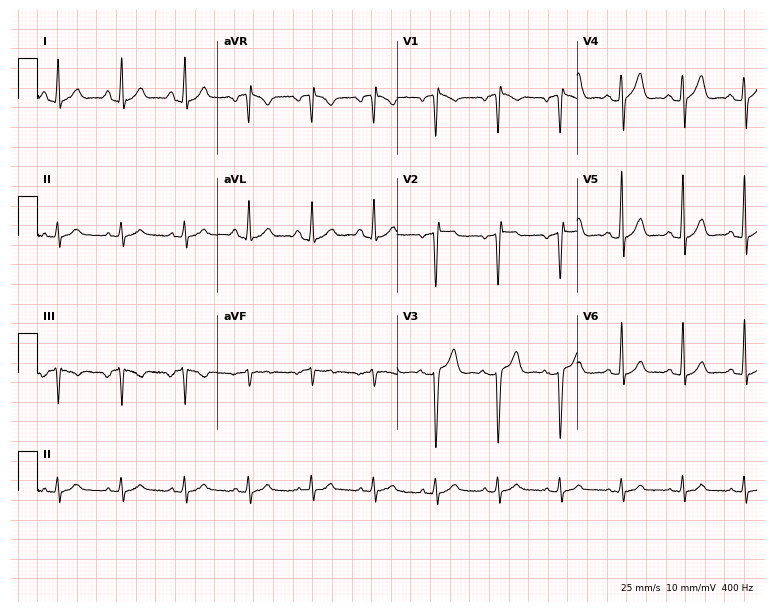
Standard 12-lead ECG recorded from a man, 30 years old (7.3-second recording at 400 Hz). Read as a normal ECG.